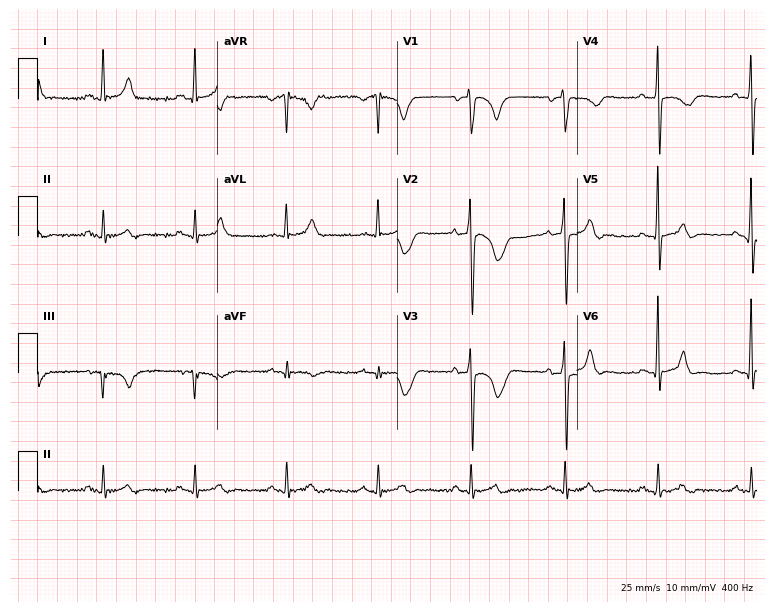
12-lead ECG from a 53-year-old man. Recorded interpretation: within normal limits.